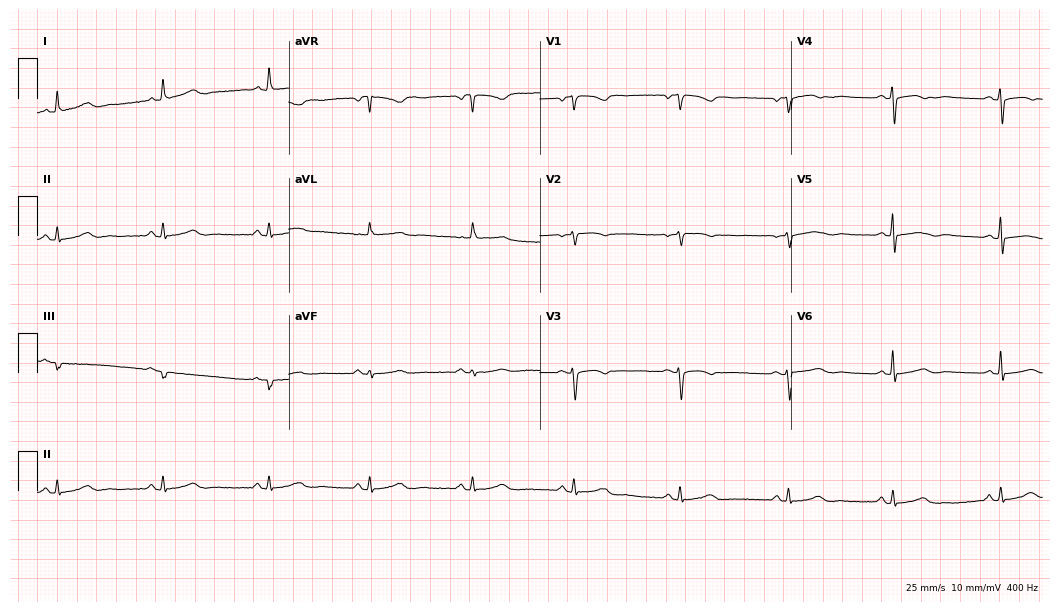
Standard 12-lead ECG recorded from a female, 62 years old. None of these six findings is recorded: first-degree AV block, right bundle branch block (RBBB), left bundle branch block (LBBB), sinus bradycardia, atrial fibrillation (AF), sinus tachycardia.